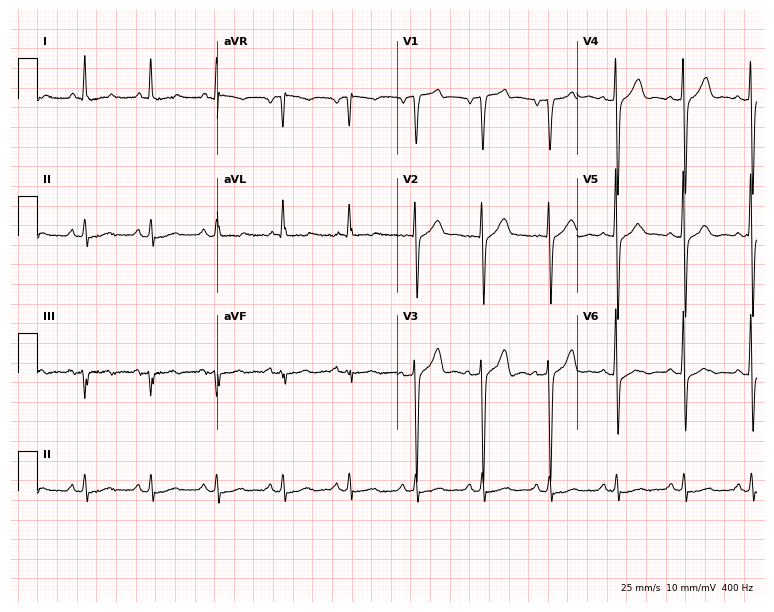
12-lead ECG from a 63-year-old male patient. No first-degree AV block, right bundle branch block (RBBB), left bundle branch block (LBBB), sinus bradycardia, atrial fibrillation (AF) or sinus tachycardia recorded for this tracing. Findings outside these six are not listed.